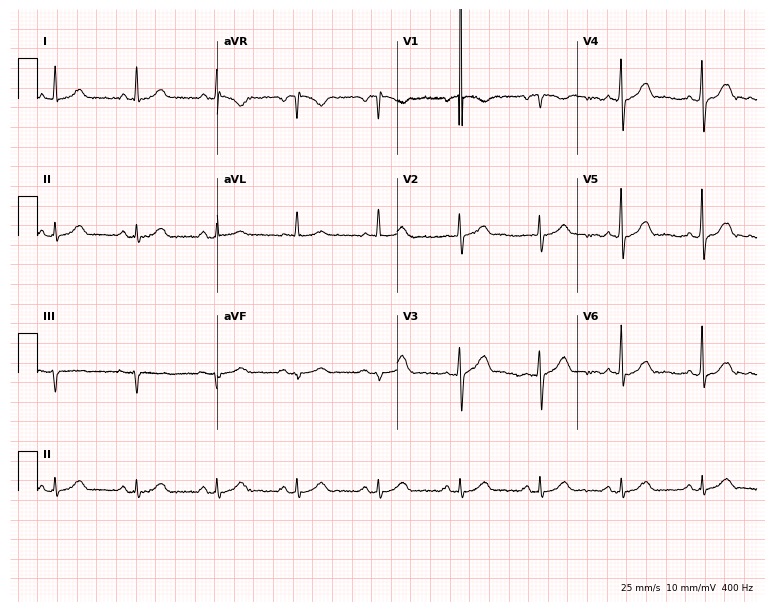
Standard 12-lead ECG recorded from a 61-year-old male. Read as a normal ECG.